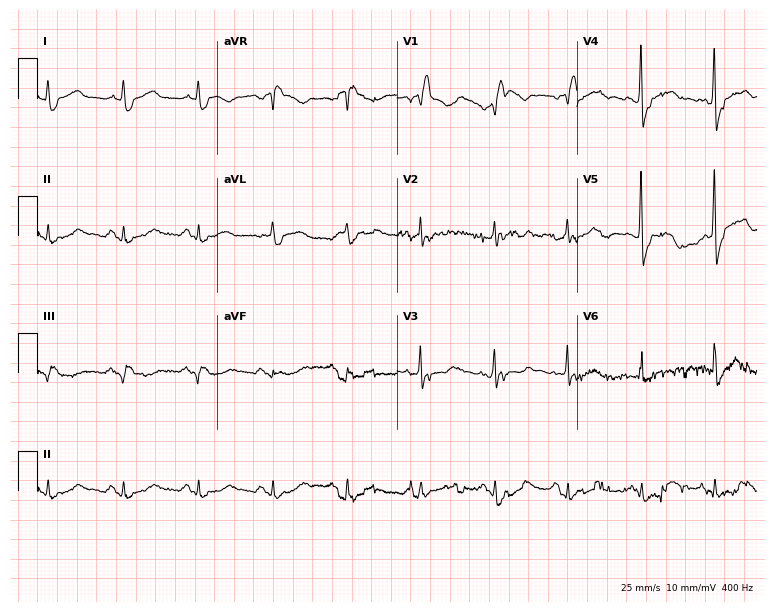
ECG — an 81-year-old man. Findings include right bundle branch block (RBBB).